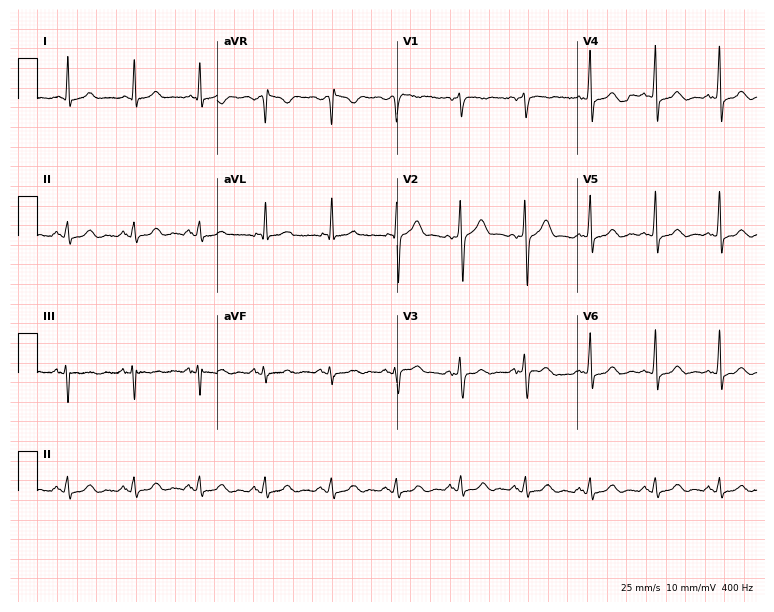
Resting 12-lead electrocardiogram. Patient: a male, 53 years old. Read as a normal ECG.